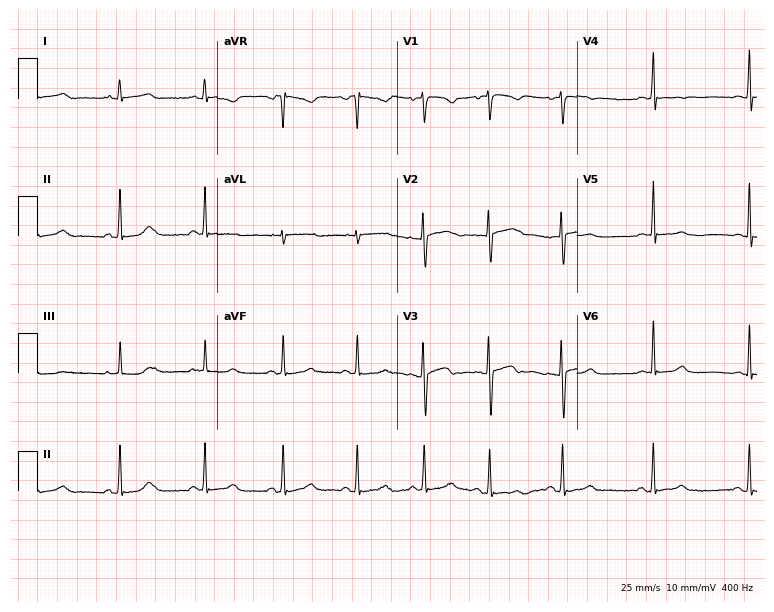
Standard 12-lead ECG recorded from a female, 18 years old (7.3-second recording at 400 Hz). None of these six findings is recorded: first-degree AV block, right bundle branch block (RBBB), left bundle branch block (LBBB), sinus bradycardia, atrial fibrillation (AF), sinus tachycardia.